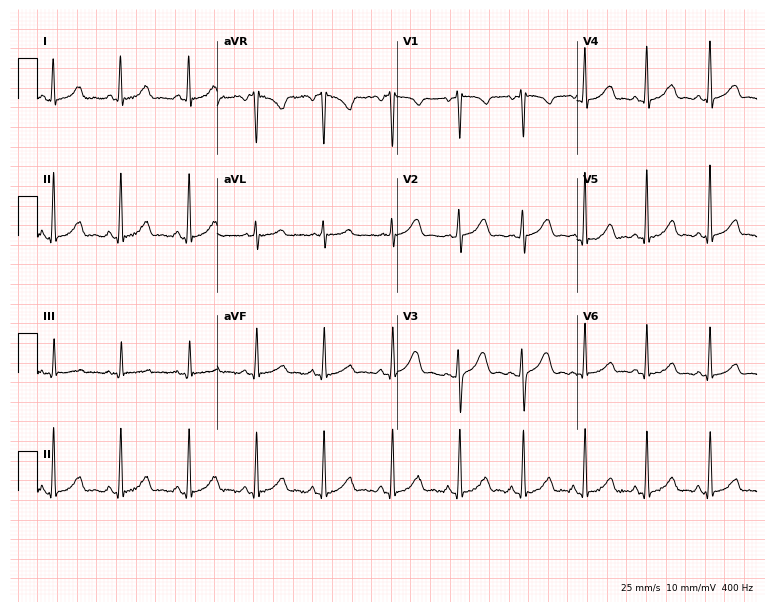
ECG — a 42-year-old female. Labelled as a normal ECG.